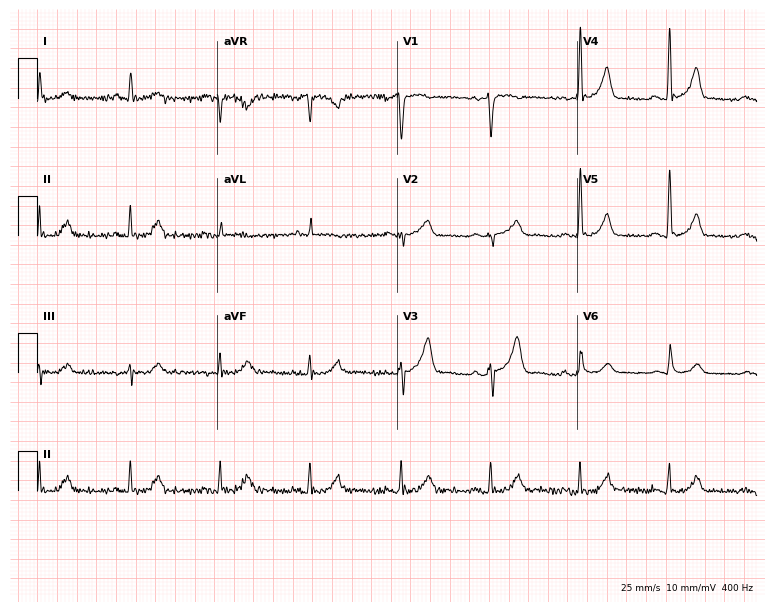
12-lead ECG from a male patient, 75 years old. Recorded interpretation: within normal limits.